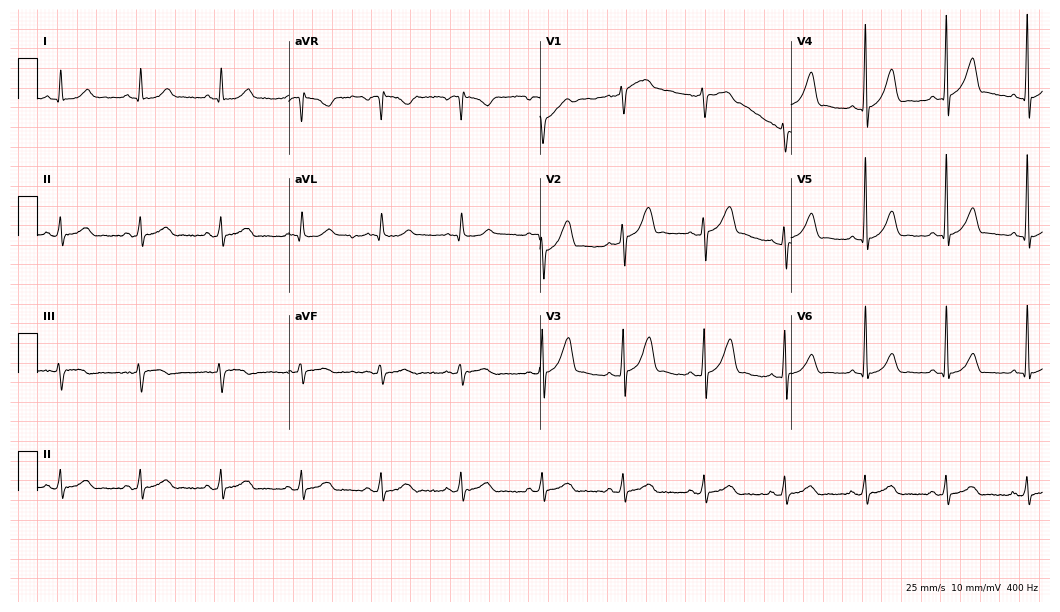
12-lead ECG (10.2-second recording at 400 Hz) from a 52-year-old male patient. Labelled as a normal ECG.